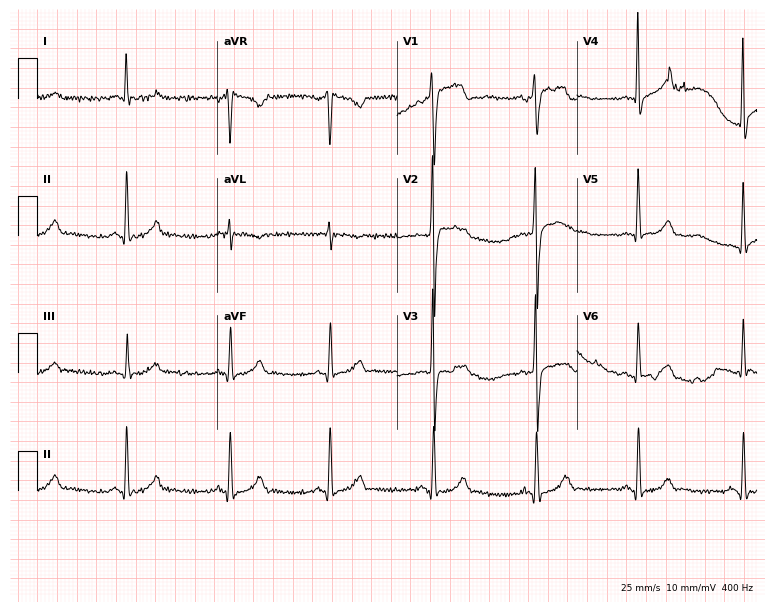
12-lead ECG from a male, 52 years old. Screened for six findings — first-degree AV block, right bundle branch block, left bundle branch block, sinus bradycardia, atrial fibrillation, sinus tachycardia — none is recorded. Only these six findings were labelled.